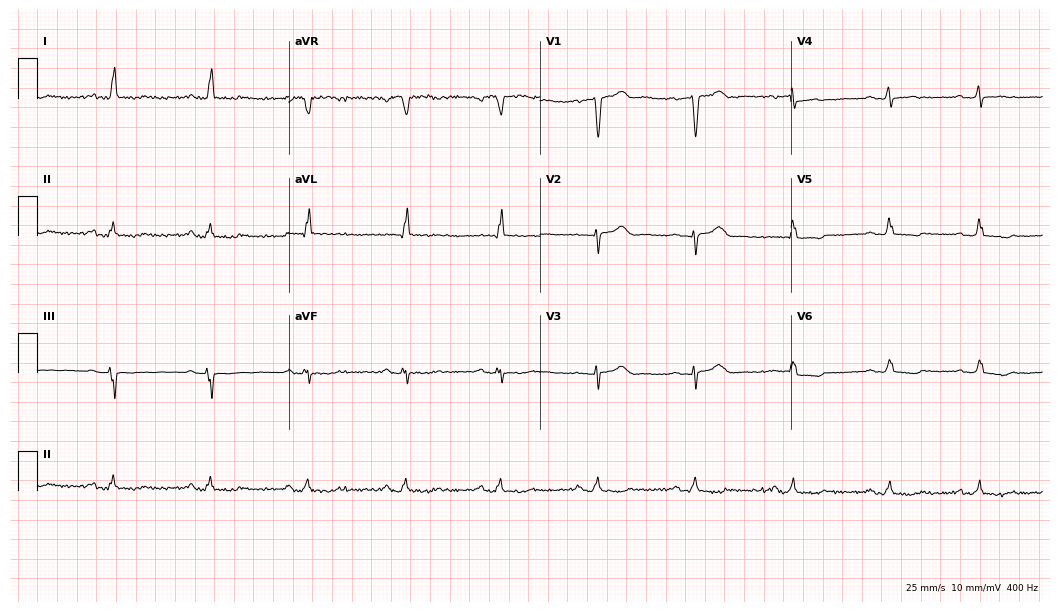
Standard 12-lead ECG recorded from a female, 39 years old (10.2-second recording at 400 Hz). None of these six findings is recorded: first-degree AV block, right bundle branch block, left bundle branch block, sinus bradycardia, atrial fibrillation, sinus tachycardia. Other findings, if any, are not listed.